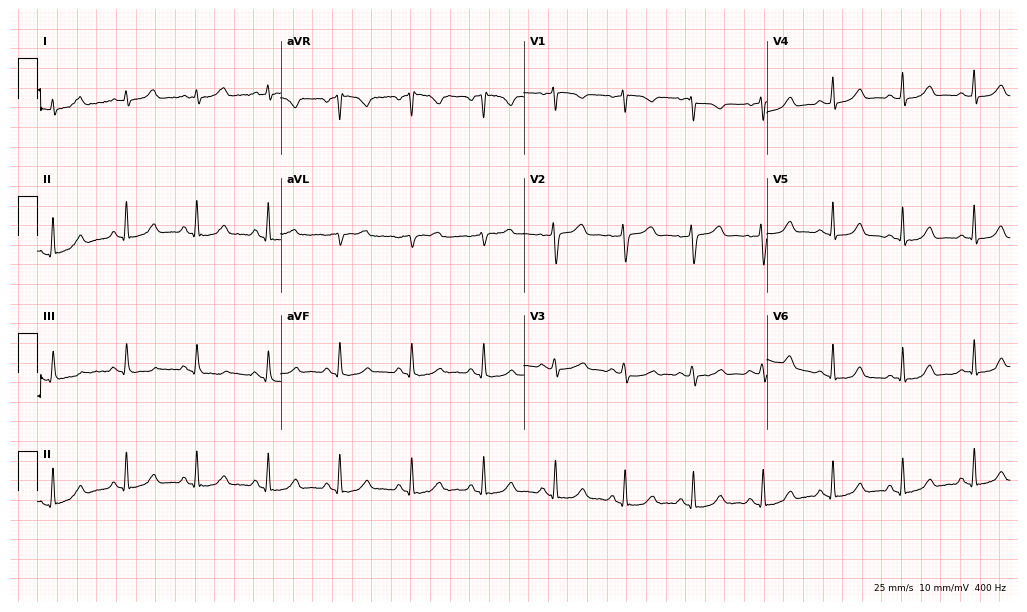
Electrocardiogram, a female patient, 40 years old. Overall reading on record: normal ECG.